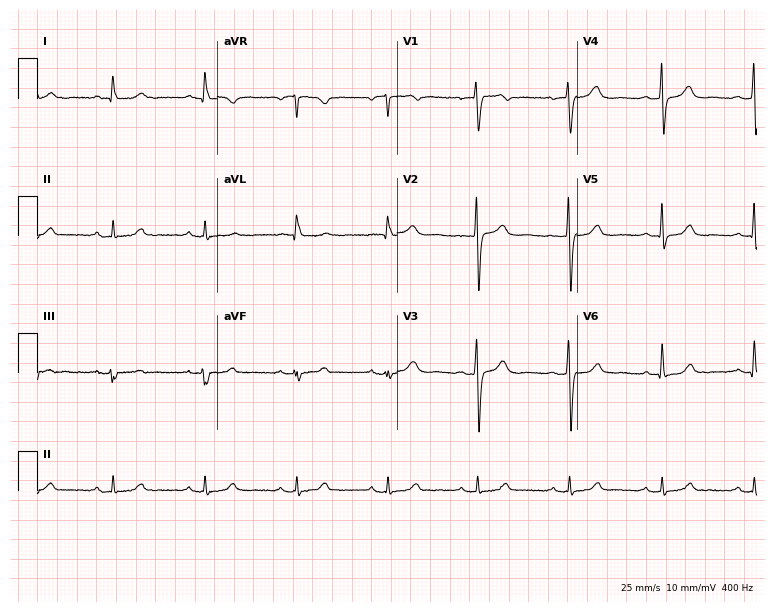
Electrocardiogram (7.3-second recording at 400 Hz), a woman, 52 years old. Overall reading on record: normal ECG.